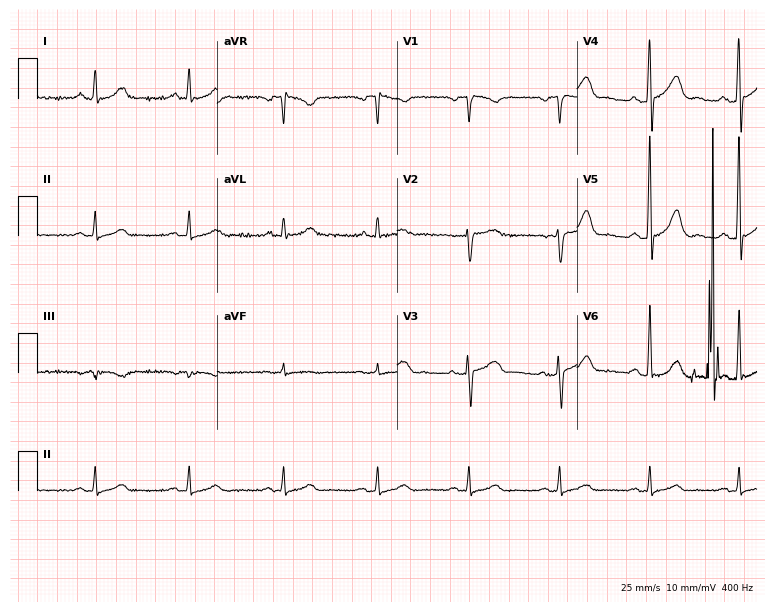
Electrocardiogram (7.3-second recording at 400 Hz), a 54-year-old female patient. Overall reading on record: normal ECG.